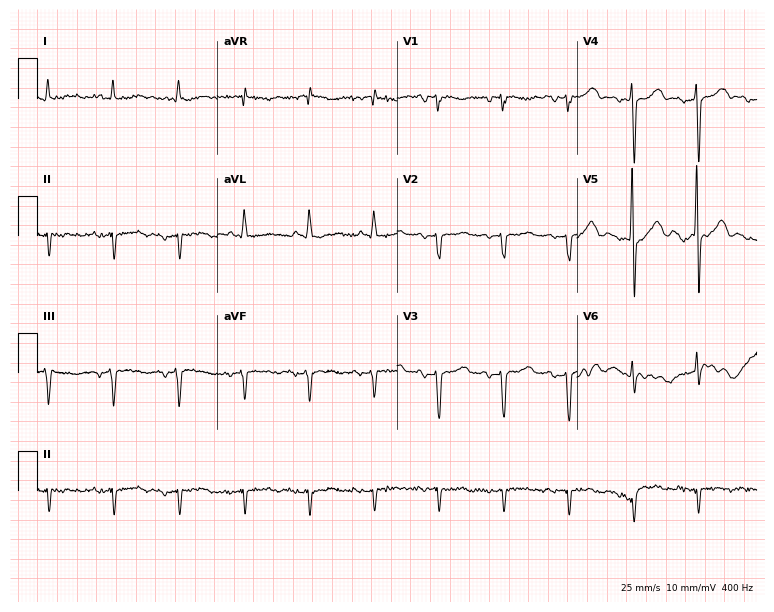
12-lead ECG from a 67-year-old male patient. Screened for six findings — first-degree AV block, right bundle branch block, left bundle branch block, sinus bradycardia, atrial fibrillation, sinus tachycardia — none is recorded. Other findings, if any, are not listed.